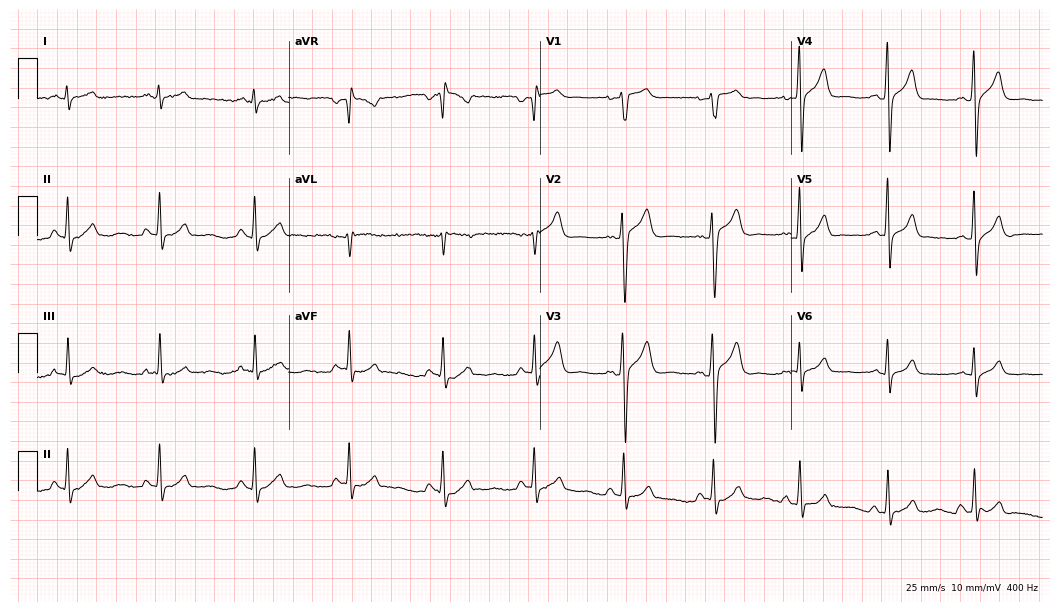
ECG — a 28-year-old male. Screened for six findings — first-degree AV block, right bundle branch block, left bundle branch block, sinus bradycardia, atrial fibrillation, sinus tachycardia — none is recorded. Only these six findings were labelled.